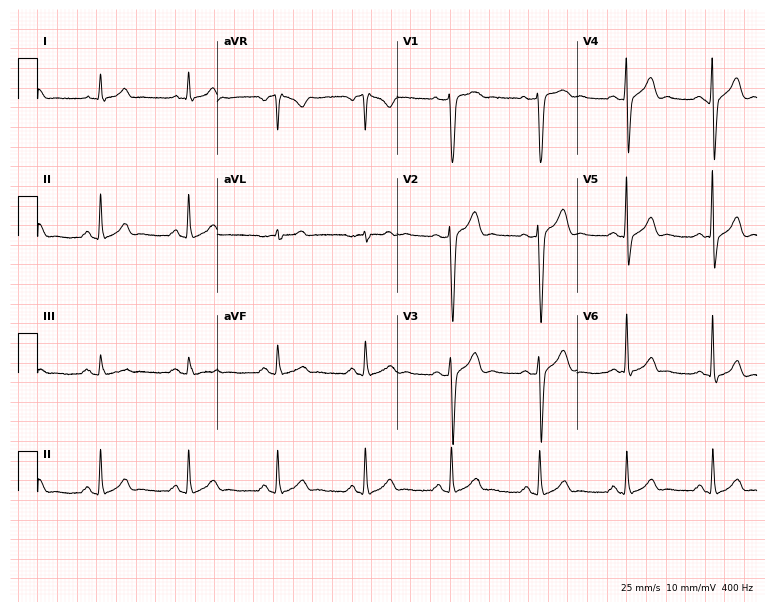
Electrocardiogram (7.3-second recording at 400 Hz), a male patient, 55 years old. Overall reading on record: normal ECG.